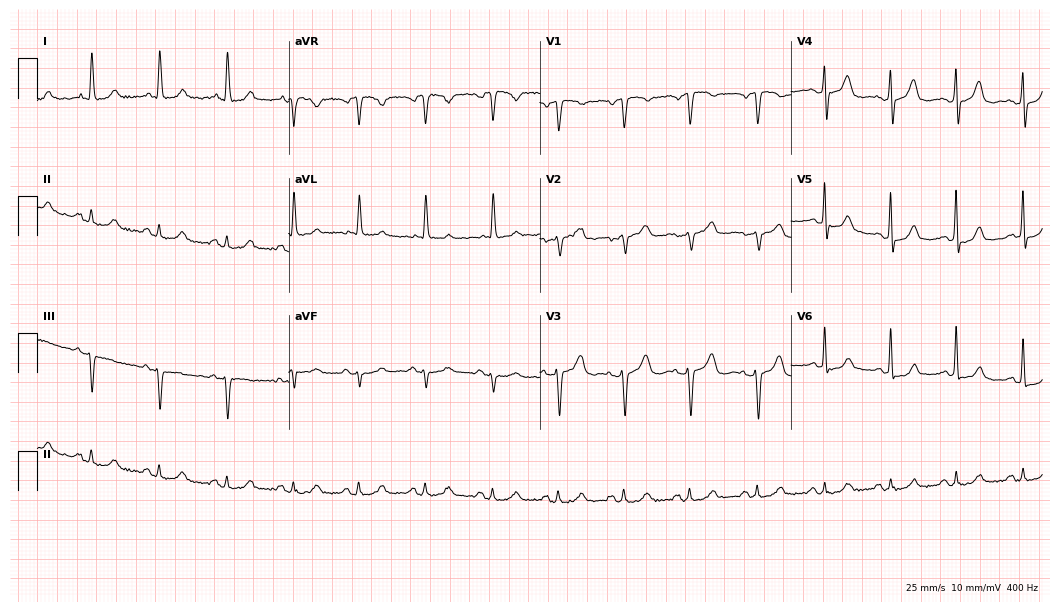
Standard 12-lead ECG recorded from an 81-year-old female patient. Read as a normal ECG.